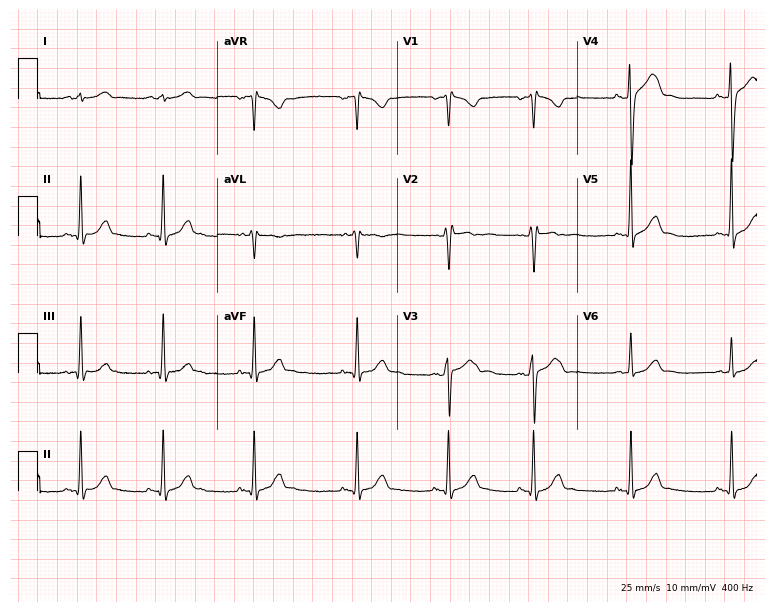
Standard 12-lead ECG recorded from a male patient, 25 years old. None of these six findings is recorded: first-degree AV block, right bundle branch block, left bundle branch block, sinus bradycardia, atrial fibrillation, sinus tachycardia. Other findings, if any, are not listed.